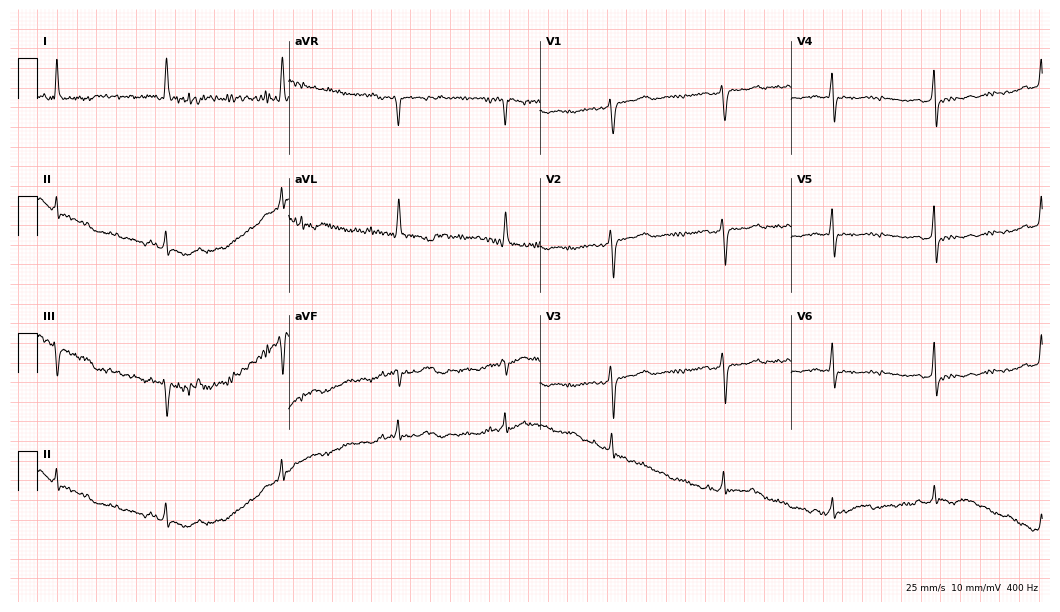
ECG — a female patient, 59 years old. Screened for six findings — first-degree AV block, right bundle branch block (RBBB), left bundle branch block (LBBB), sinus bradycardia, atrial fibrillation (AF), sinus tachycardia — none is recorded. Only these six findings were labelled.